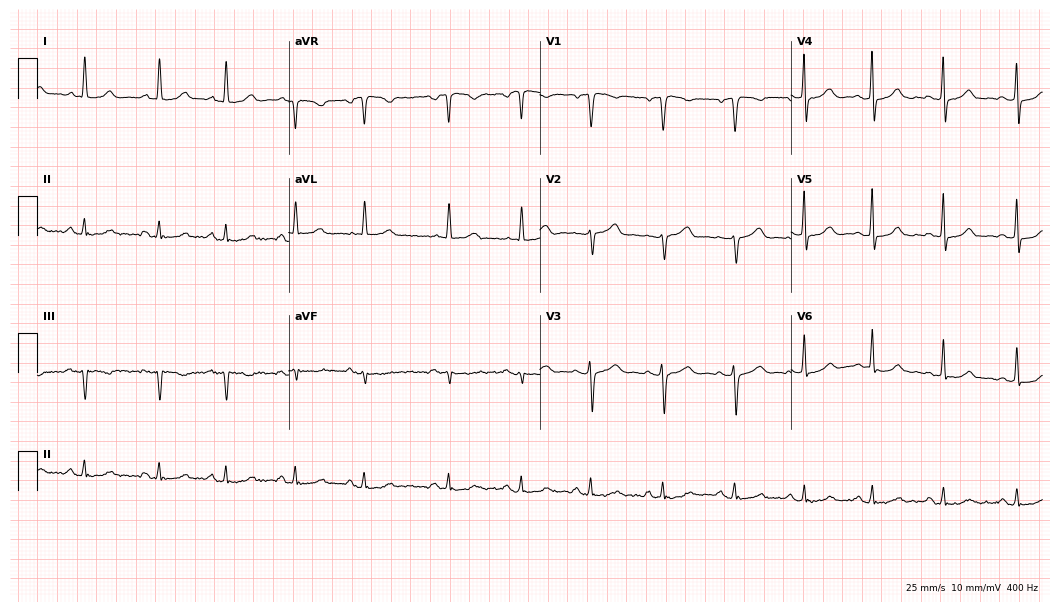
Electrocardiogram, a 53-year-old female. Overall reading on record: normal ECG.